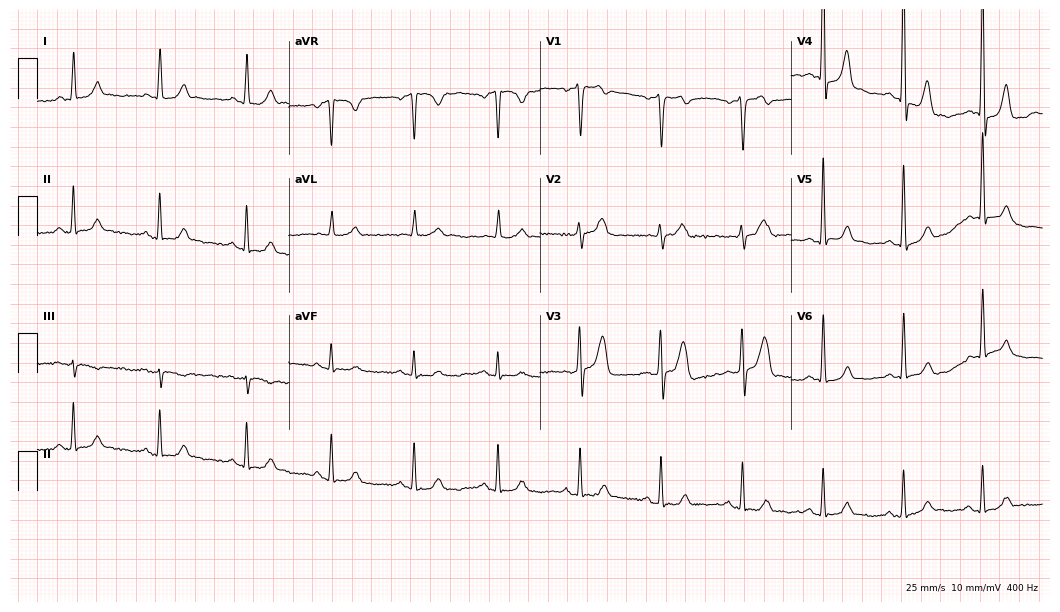
Standard 12-lead ECG recorded from an 84-year-old male (10.2-second recording at 400 Hz). Read as a normal ECG.